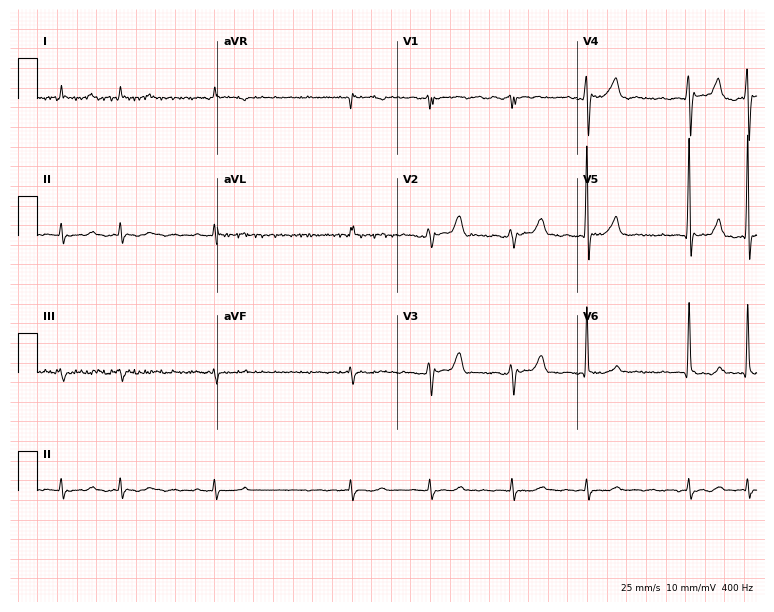
Electrocardiogram, a man, 80 years old. Interpretation includes atrial fibrillation (AF).